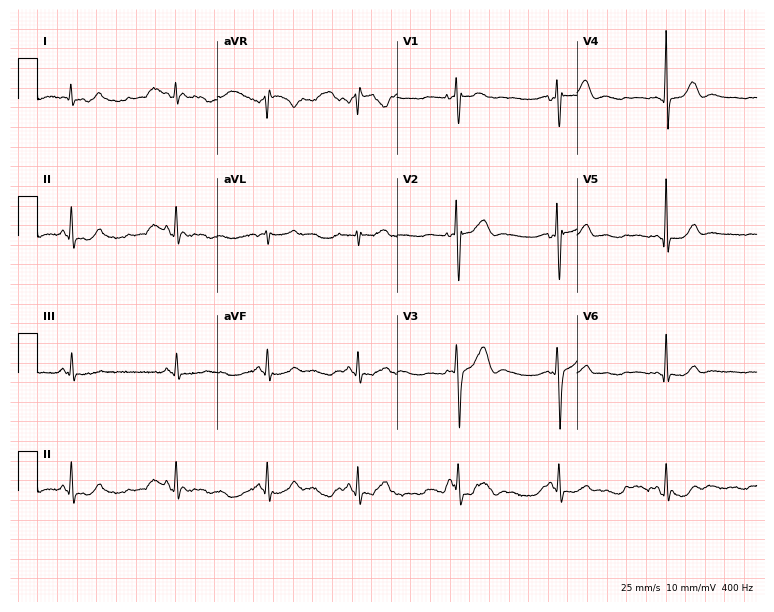
Resting 12-lead electrocardiogram (7.3-second recording at 400 Hz). Patient: a 41-year-old male. None of these six findings is recorded: first-degree AV block, right bundle branch block, left bundle branch block, sinus bradycardia, atrial fibrillation, sinus tachycardia. Only these six findings were labelled.